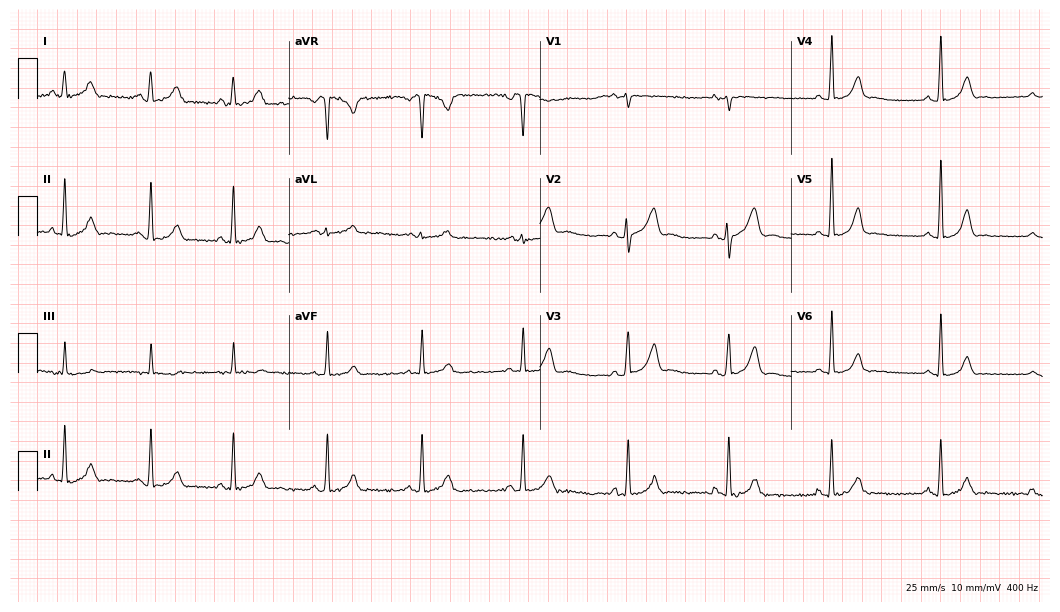
Electrocardiogram (10.2-second recording at 400 Hz), a 20-year-old woman. Of the six screened findings (first-degree AV block, right bundle branch block, left bundle branch block, sinus bradycardia, atrial fibrillation, sinus tachycardia), none is recorded. Other findings, if any, are not listed.